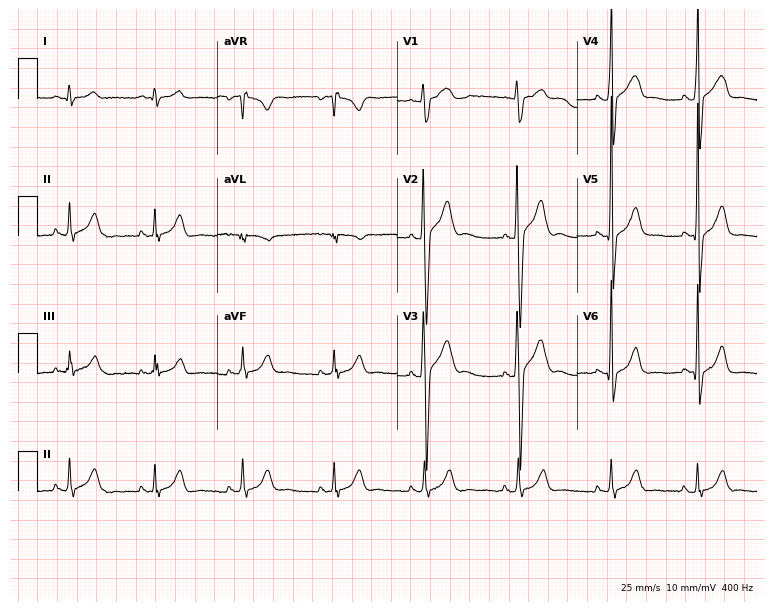
Resting 12-lead electrocardiogram. Patient: a male, 21 years old. None of these six findings is recorded: first-degree AV block, right bundle branch block, left bundle branch block, sinus bradycardia, atrial fibrillation, sinus tachycardia.